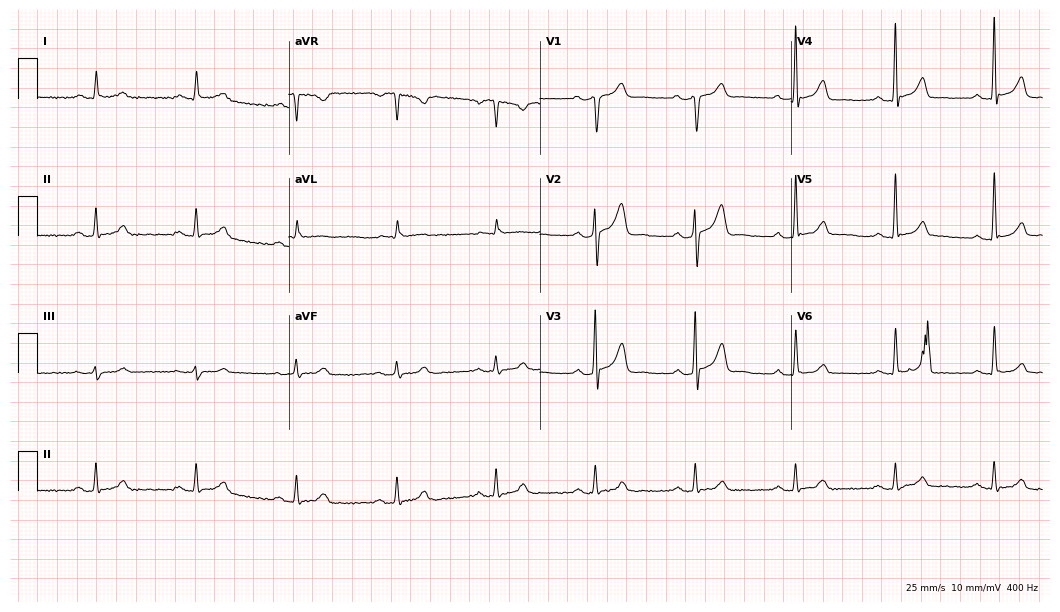
Standard 12-lead ECG recorded from a 69-year-old man. Read as a normal ECG.